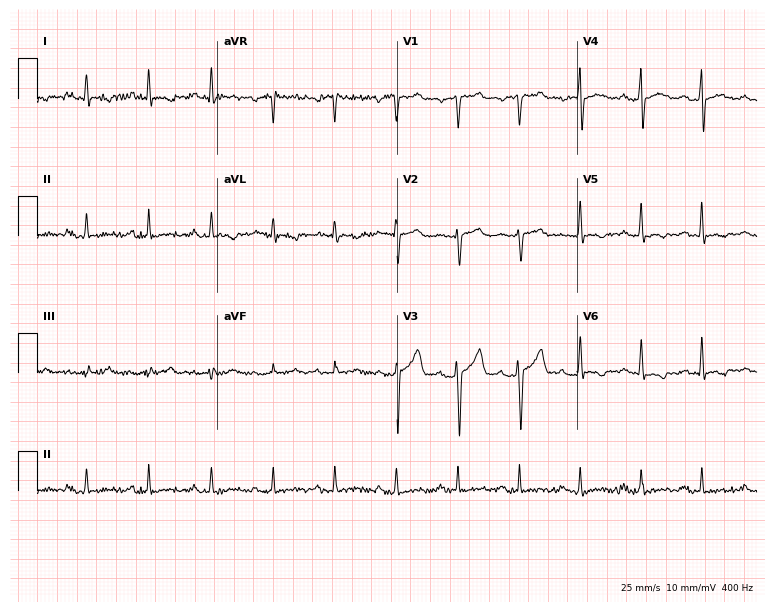
Electrocardiogram (7.3-second recording at 400 Hz), a 41-year-old man. Overall reading on record: normal ECG.